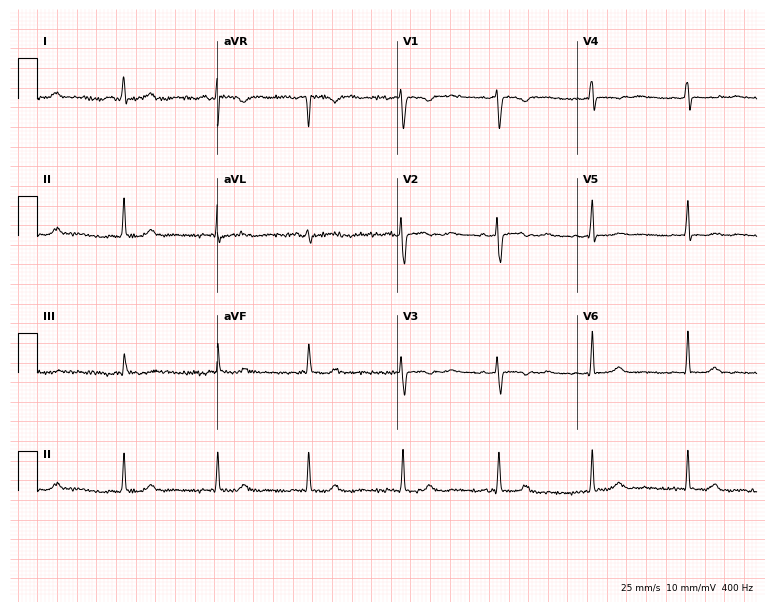
Standard 12-lead ECG recorded from a female patient, 30 years old (7.3-second recording at 400 Hz). None of these six findings is recorded: first-degree AV block, right bundle branch block (RBBB), left bundle branch block (LBBB), sinus bradycardia, atrial fibrillation (AF), sinus tachycardia. Findings outside these six are not listed.